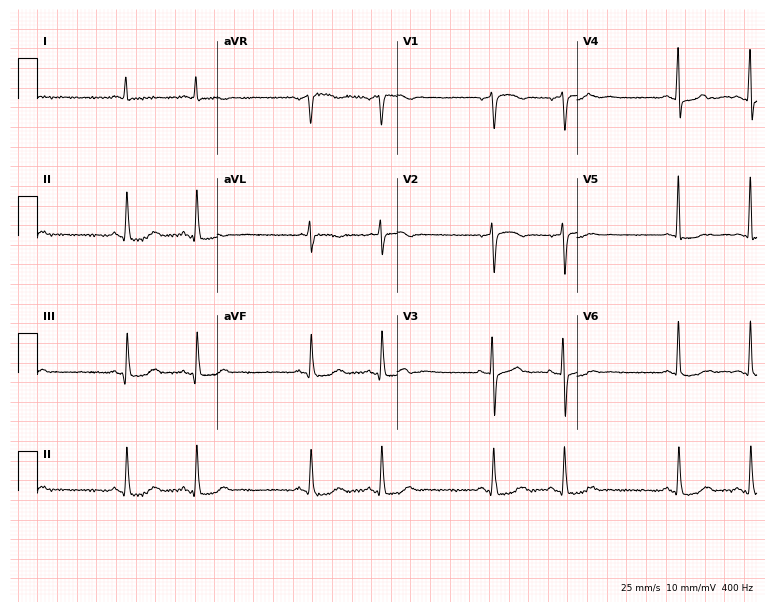
12-lead ECG from a woman, 81 years old. Screened for six findings — first-degree AV block, right bundle branch block (RBBB), left bundle branch block (LBBB), sinus bradycardia, atrial fibrillation (AF), sinus tachycardia — none is recorded.